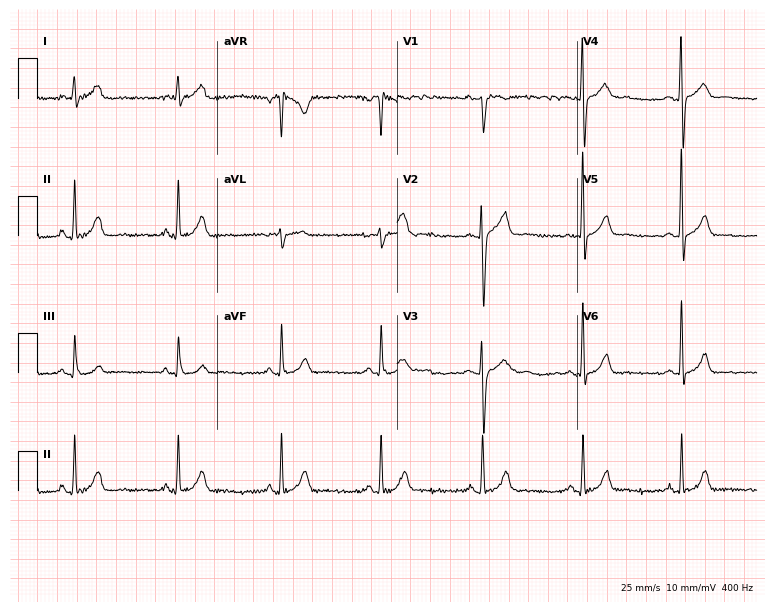
Standard 12-lead ECG recorded from a man, 31 years old (7.3-second recording at 400 Hz). Read as a normal ECG.